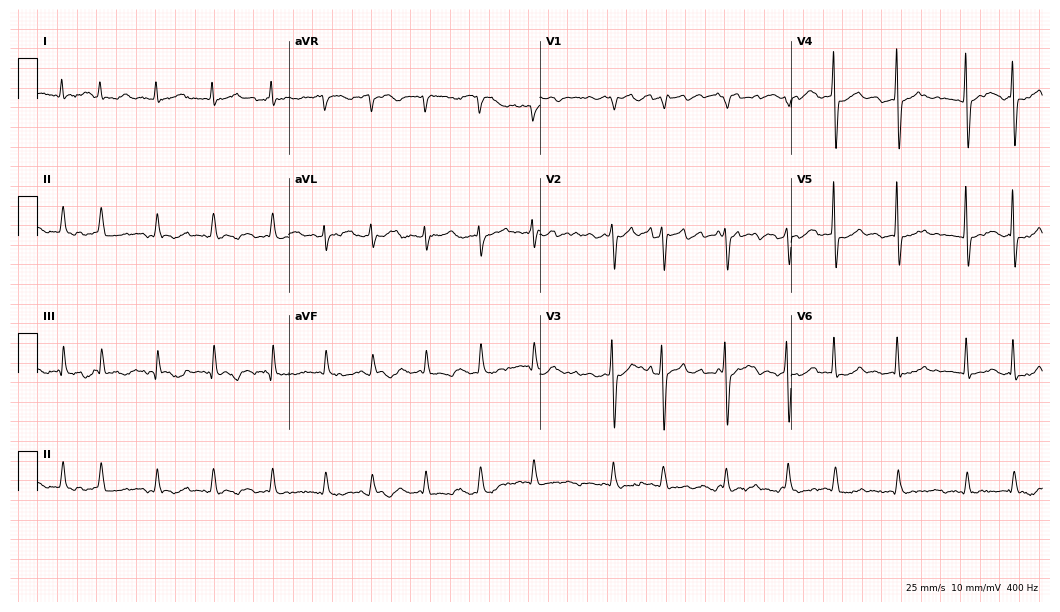
Resting 12-lead electrocardiogram. Patient: a woman, 83 years old. The tracing shows atrial fibrillation, sinus tachycardia (a sinus rate of 100 beats per minute or more).